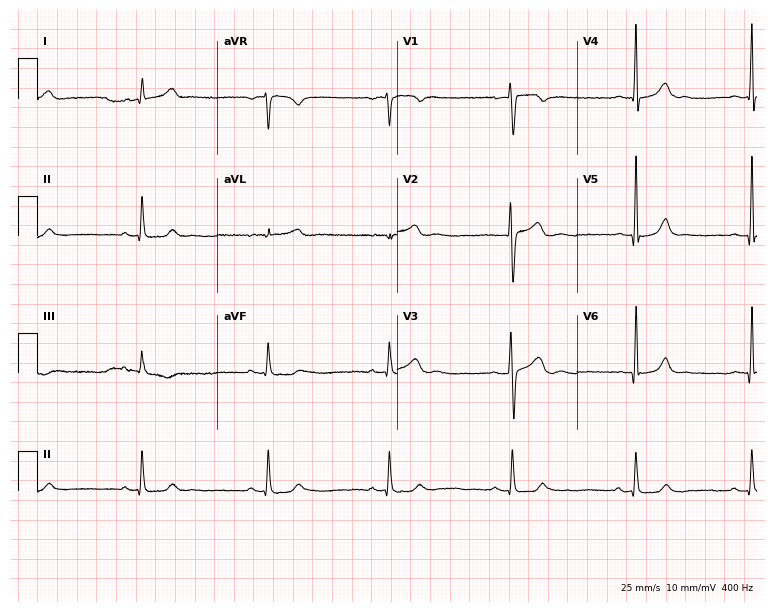
12-lead ECG from a man, 26 years old. Shows sinus bradycardia (a sinus rate of 50 beats per minute or less).